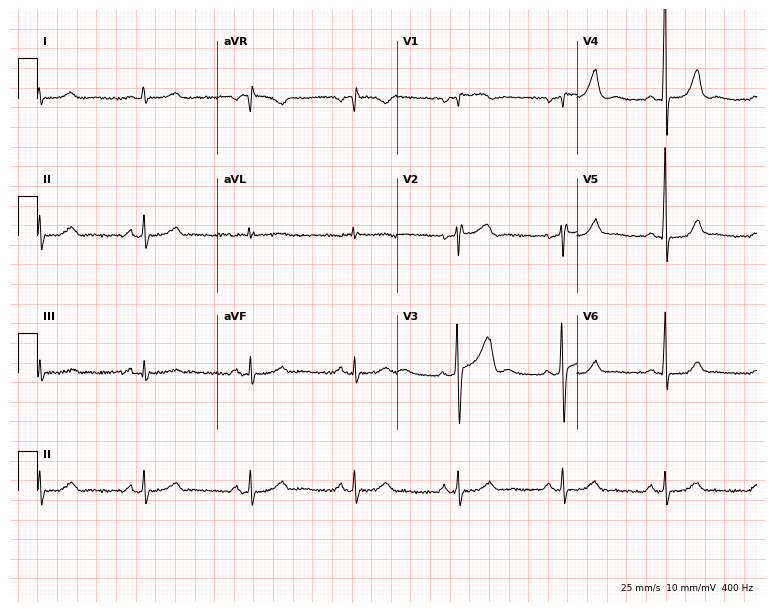
12-lead ECG from a 57-year-old male patient. No first-degree AV block, right bundle branch block (RBBB), left bundle branch block (LBBB), sinus bradycardia, atrial fibrillation (AF) or sinus tachycardia recorded for this tracing.